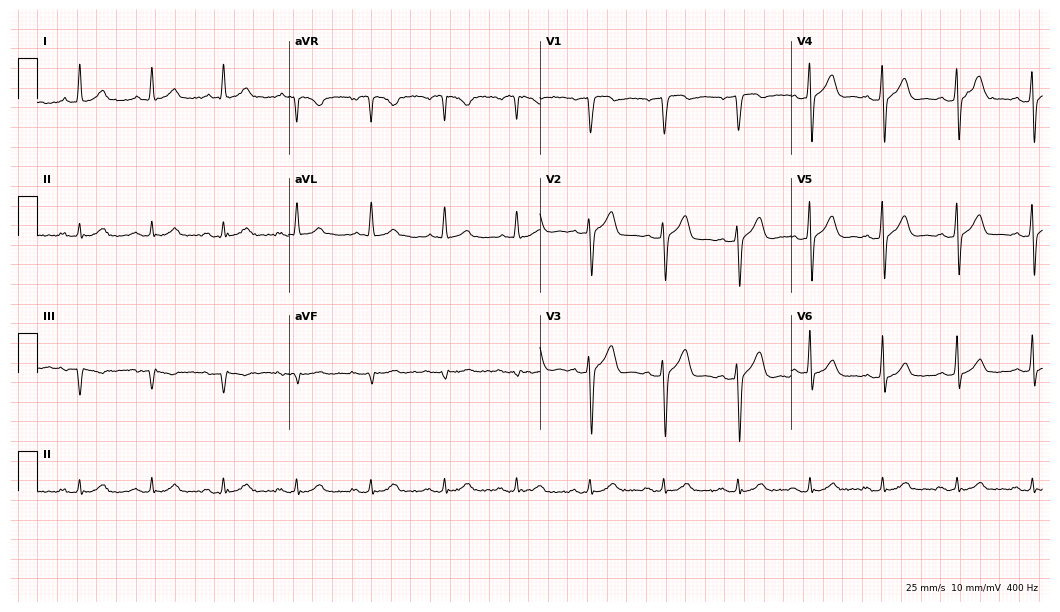
Electrocardiogram (10.2-second recording at 400 Hz), a 53-year-old male. Of the six screened findings (first-degree AV block, right bundle branch block (RBBB), left bundle branch block (LBBB), sinus bradycardia, atrial fibrillation (AF), sinus tachycardia), none is recorded.